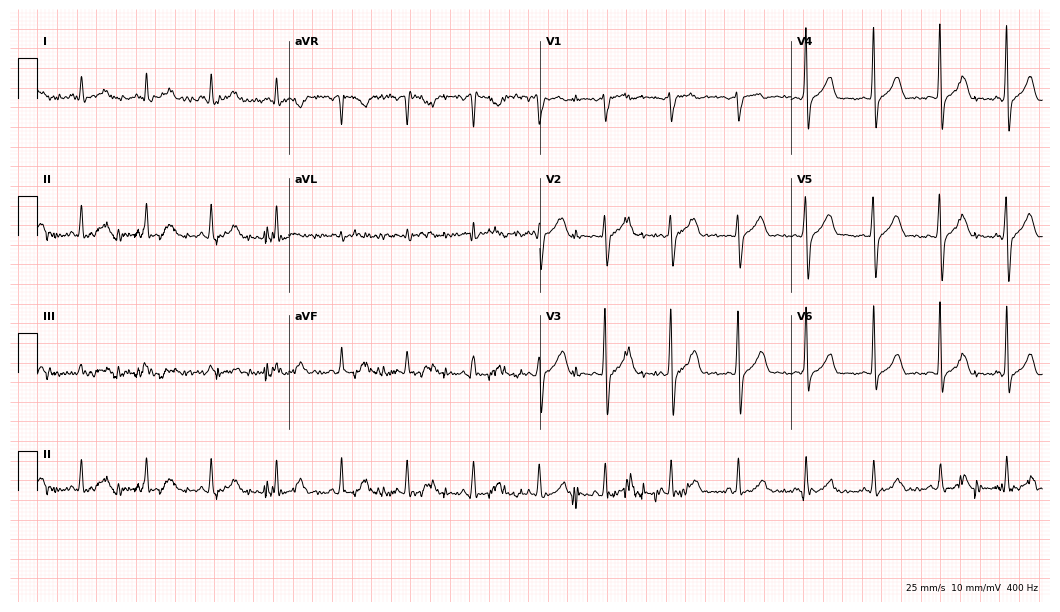
12-lead ECG from a 37-year-old male patient (10.2-second recording at 400 Hz). Recorded interpretation: within normal limits.